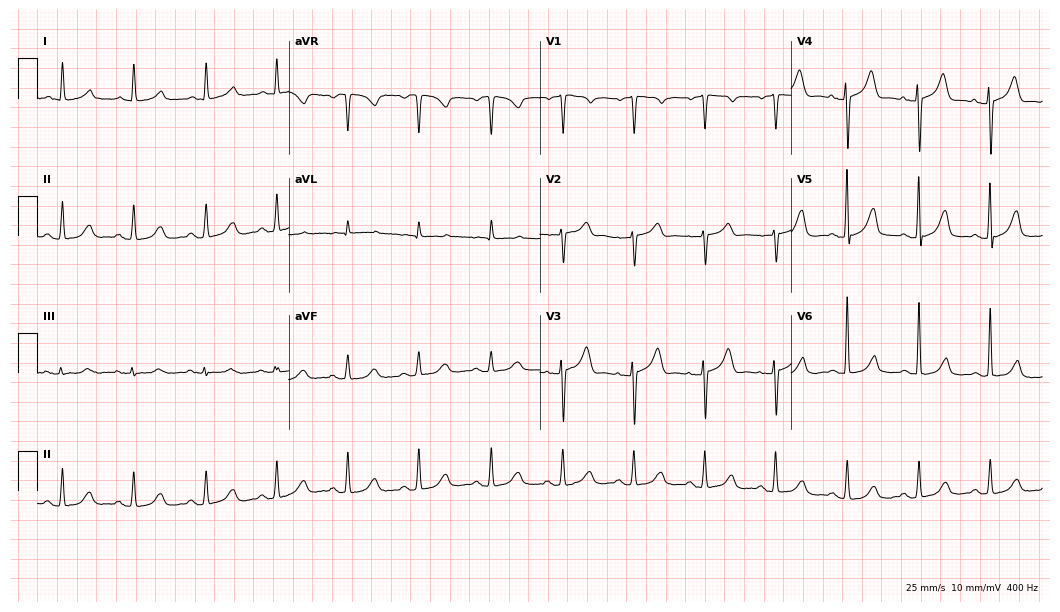
Electrocardiogram, a 77-year-old female. Overall reading on record: normal ECG.